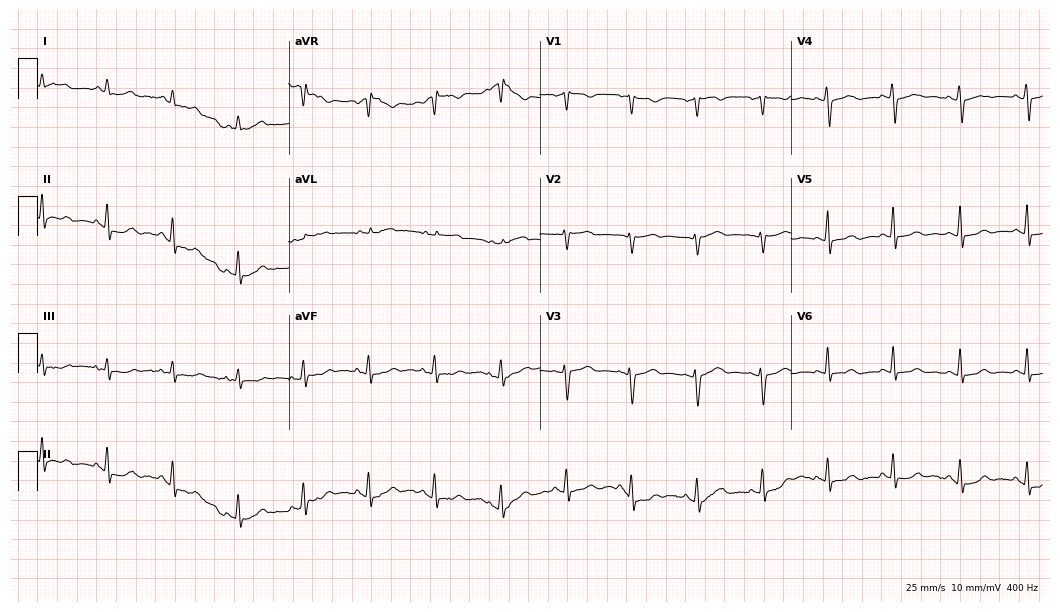
ECG (10.2-second recording at 400 Hz) — a female, 44 years old. Screened for six findings — first-degree AV block, right bundle branch block (RBBB), left bundle branch block (LBBB), sinus bradycardia, atrial fibrillation (AF), sinus tachycardia — none is recorded.